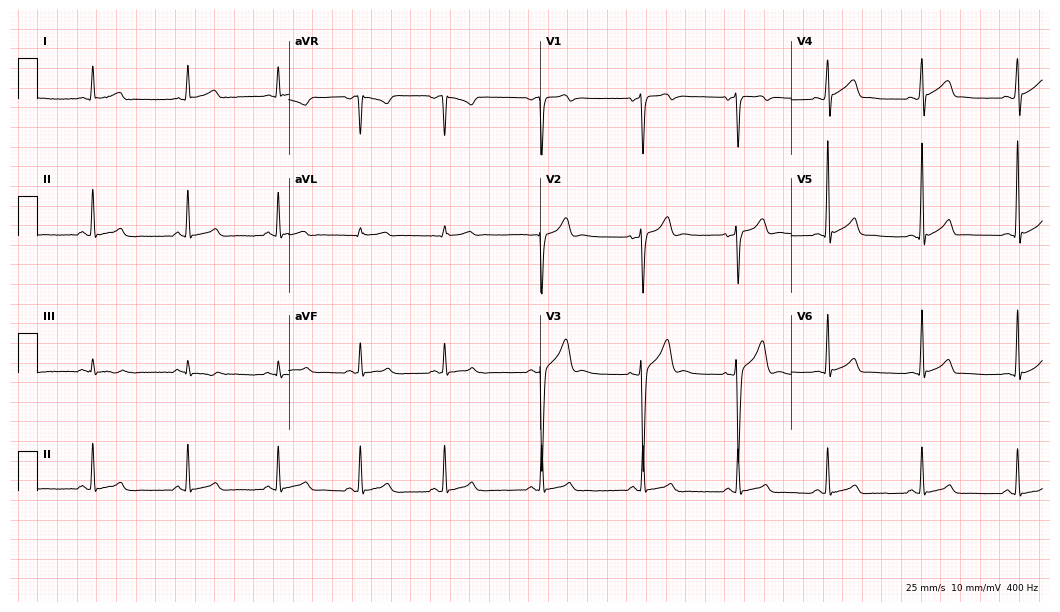
Standard 12-lead ECG recorded from a 30-year-old male patient. Read as a normal ECG.